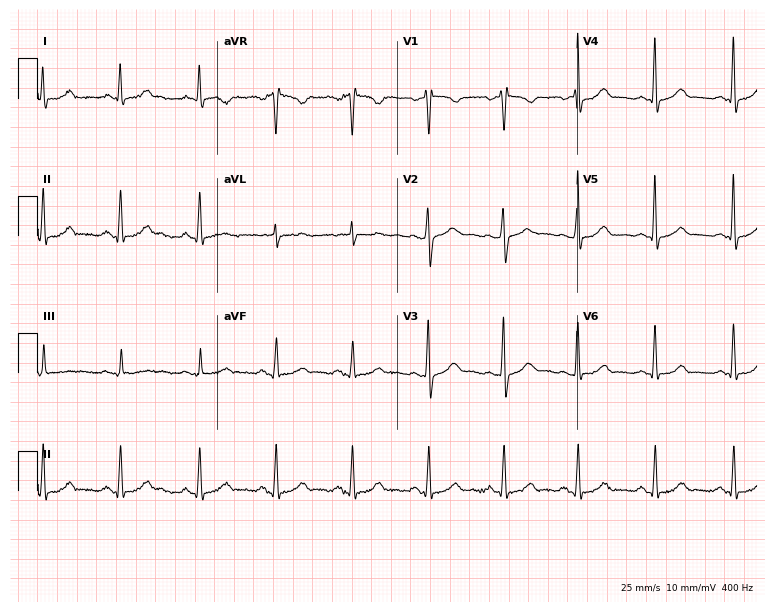
ECG — a 43-year-old female. Screened for six findings — first-degree AV block, right bundle branch block (RBBB), left bundle branch block (LBBB), sinus bradycardia, atrial fibrillation (AF), sinus tachycardia — none is recorded. Only these six findings were labelled.